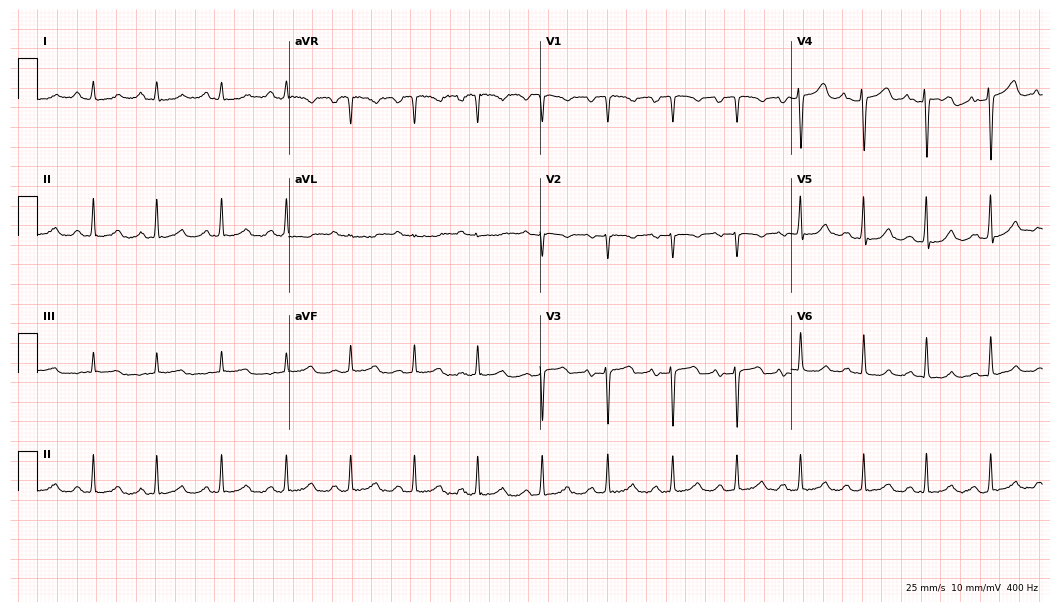
Resting 12-lead electrocardiogram (10.2-second recording at 400 Hz). Patient: an 18-year-old female. Read as a normal ECG.